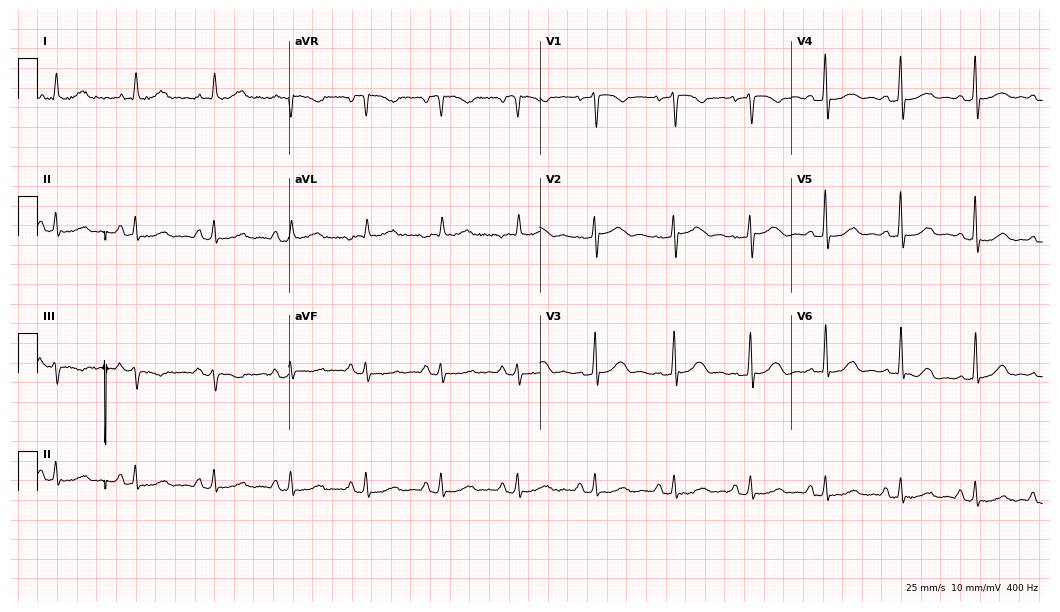
Standard 12-lead ECG recorded from a female patient, 75 years old. Read as a normal ECG.